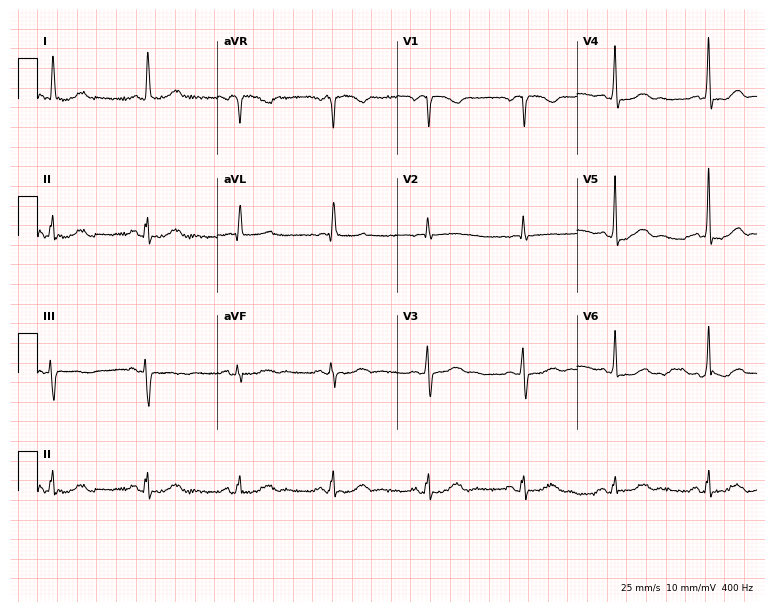
ECG (7.3-second recording at 400 Hz) — a female, 75 years old. Labelled as a normal ECG.